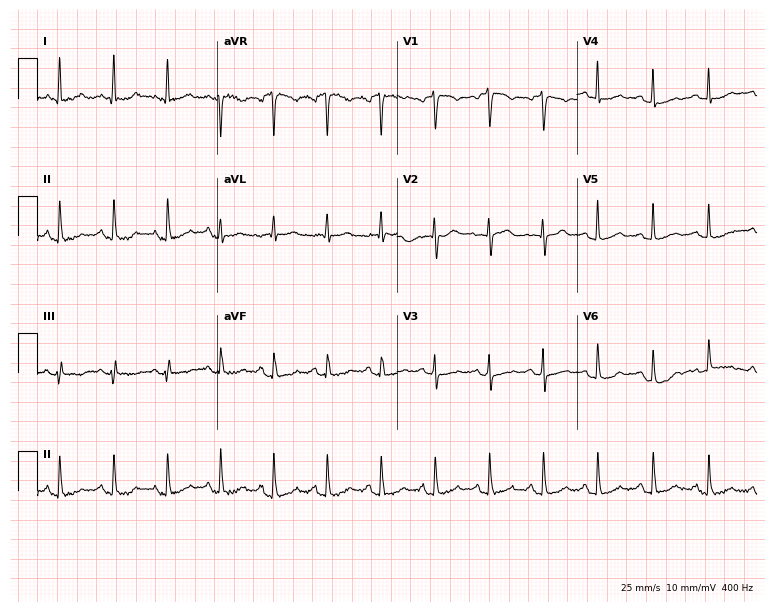
Electrocardiogram, a female patient, 59 years old. Interpretation includes sinus tachycardia (a sinus rate of 100 beats per minute or more).